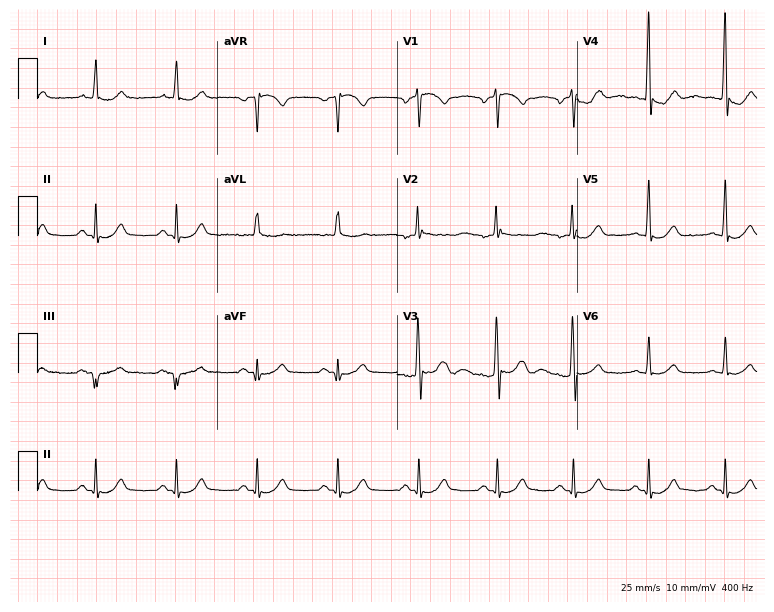
ECG (7.3-second recording at 400 Hz) — a male patient, 38 years old. Screened for six findings — first-degree AV block, right bundle branch block (RBBB), left bundle branch block (LBBB), sinus bradycardia, atrial fibrillation (AF), sinus tachycardia — none is recorded. Findings outside these six are not listed.